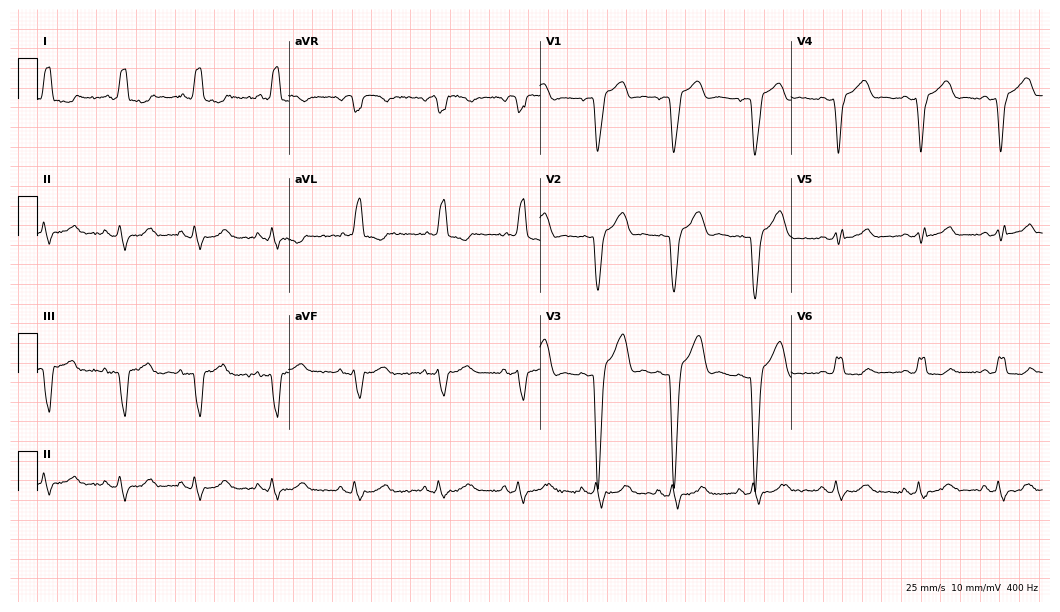
Resting 12-lead electrocardiogram. Patient: a female, 40 years old. The tracing shows left bundle branch block.